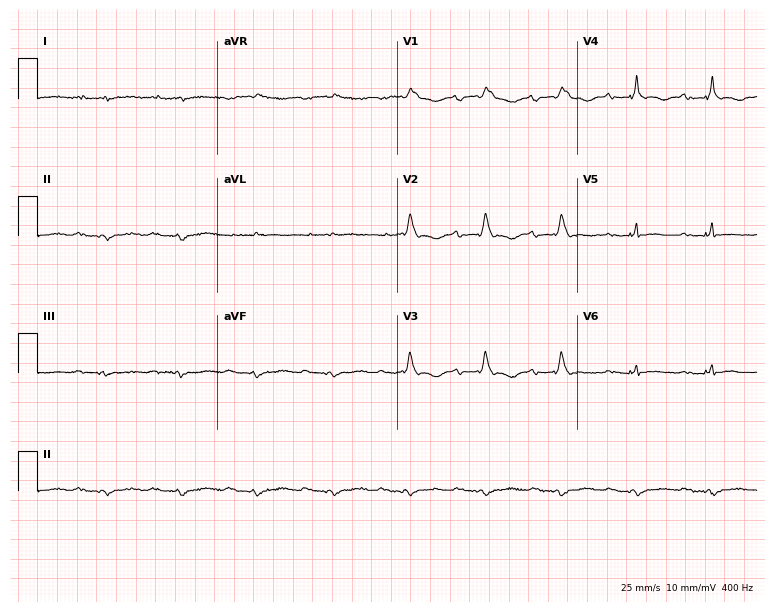
ECG — a 50-year-old man. Screened for six findings — first-degree AV block, right bundle branch block (RBBB), left bundle branch block (LBBB), sinus bradycardia, atrial fibrillation (AF), sinus tachycardia — none is recorded. Findings outside these six are not listed.